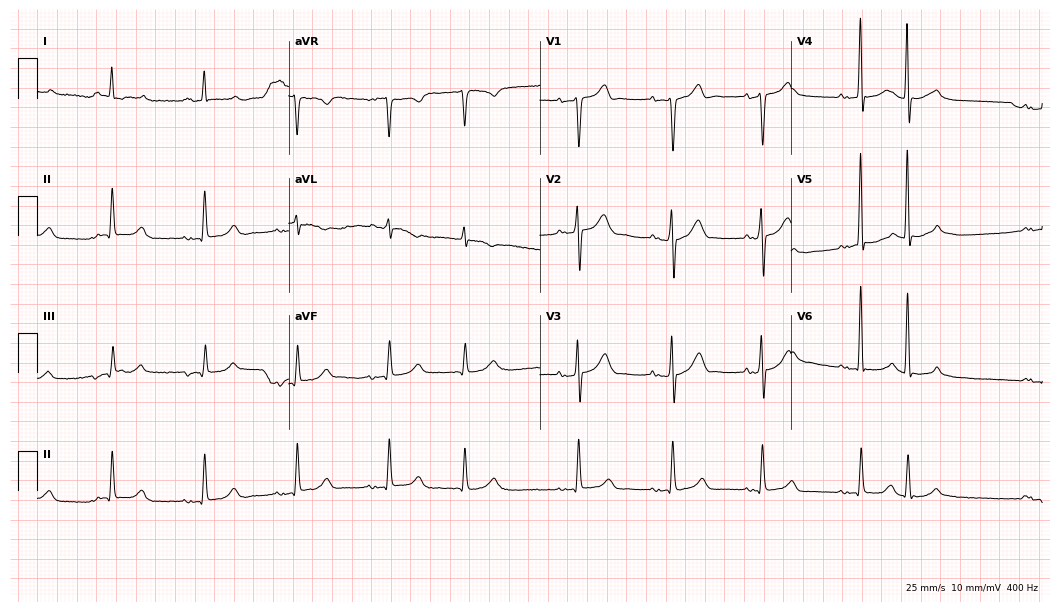
12-lead ECG from a male, 83 years old. Screened for six findings — first-degree AV block, right bundle branch block, left bundle branch block, sinus bradycardia, atrial fibrillation, sinus tachycardia — none is recorded.